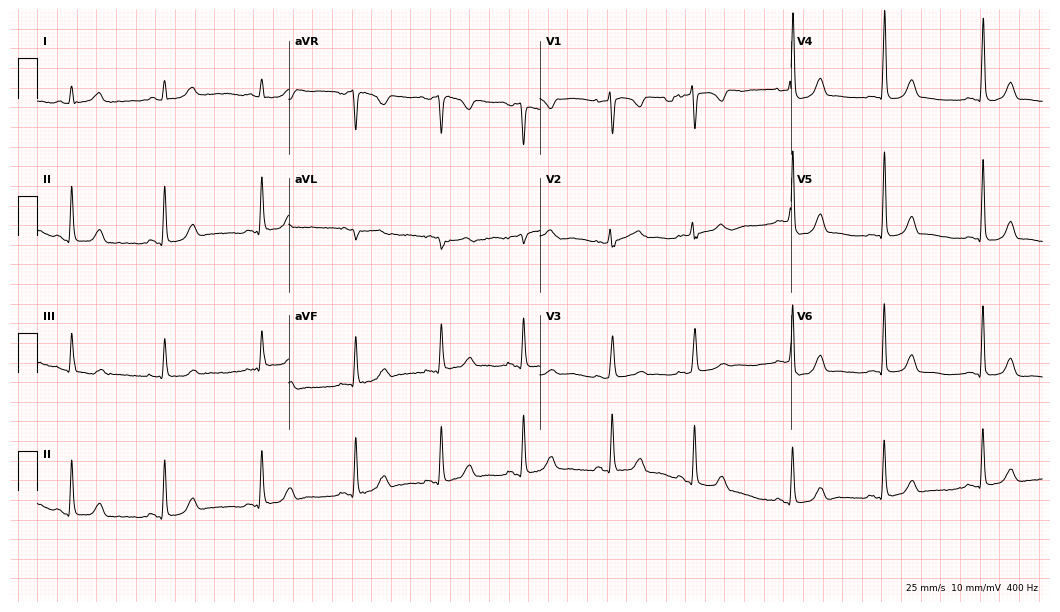
12-lead ECG from a 27-year-old female. Recorded interpretation: within normal limits.